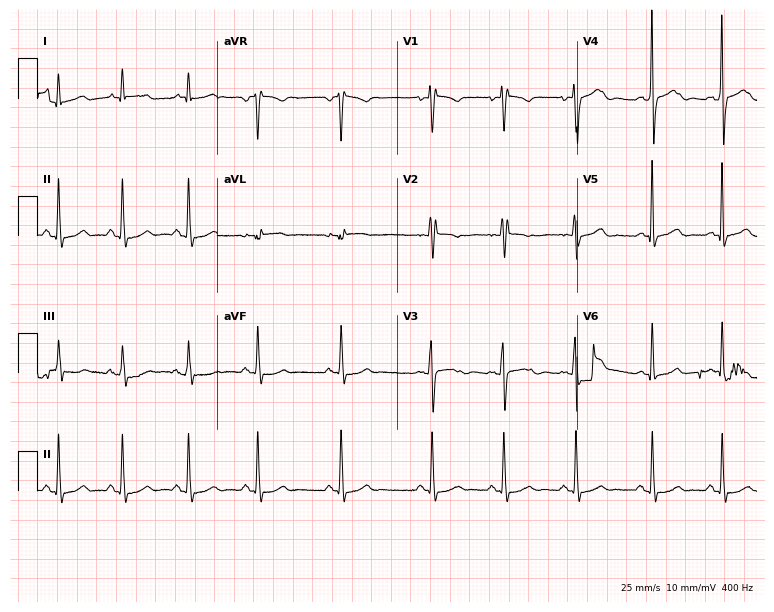
12-lead ECG from a 26-year-old female. Screened for six findings — first-degree AV block, right bundle branch block, left bundle branch block, sinus bradycardia, atrial fibrillation, sinus tachycardia — none is recorded. Other findings, if any, are not listed.